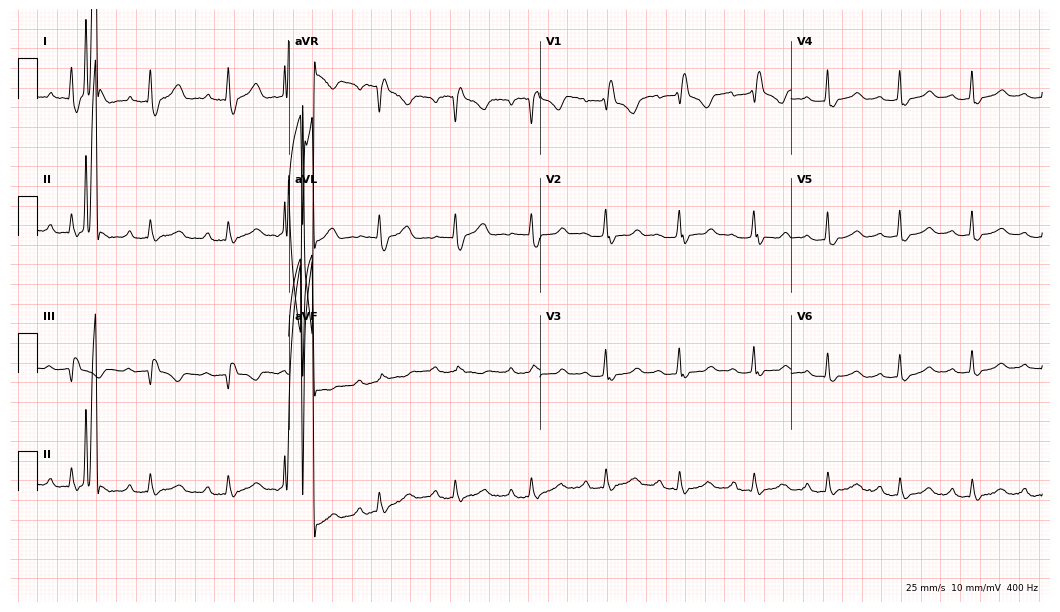
12-lead ECG from a female patient, 53 years old. Shows first-degree AV block, right bundle branch block.